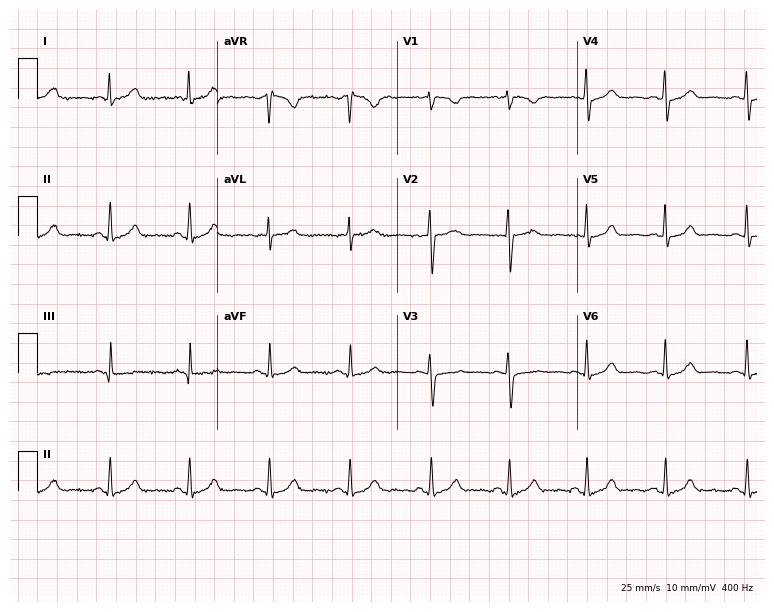
Standard 12-lead ECG recorded from a 40-year-old woman (7.3-second recording at 400 Hz). Read as a normal ECG.